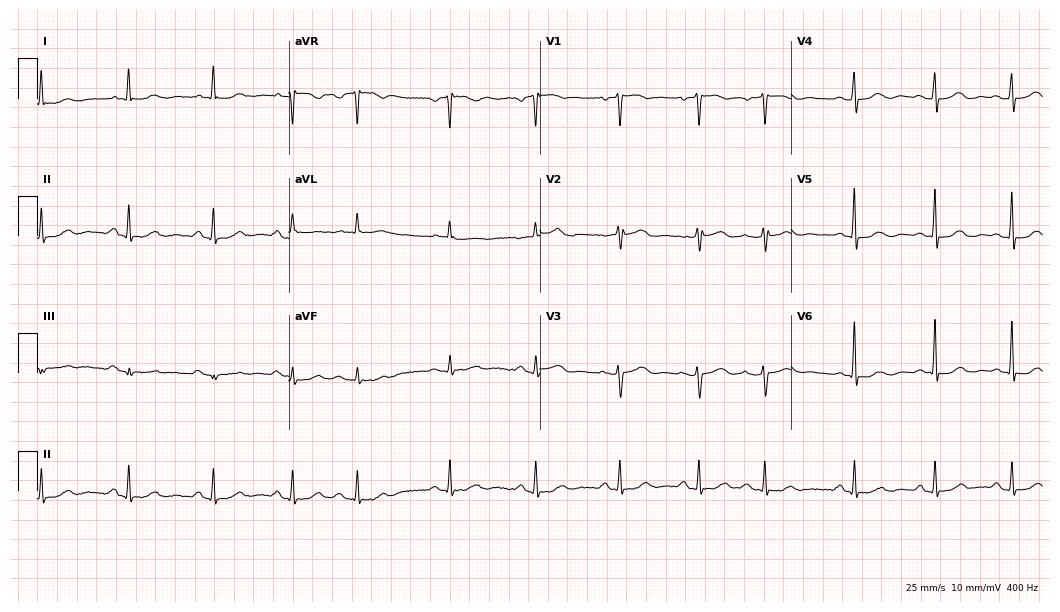
ECG — a woman, 83 years old. Labelled as a normal ECG.